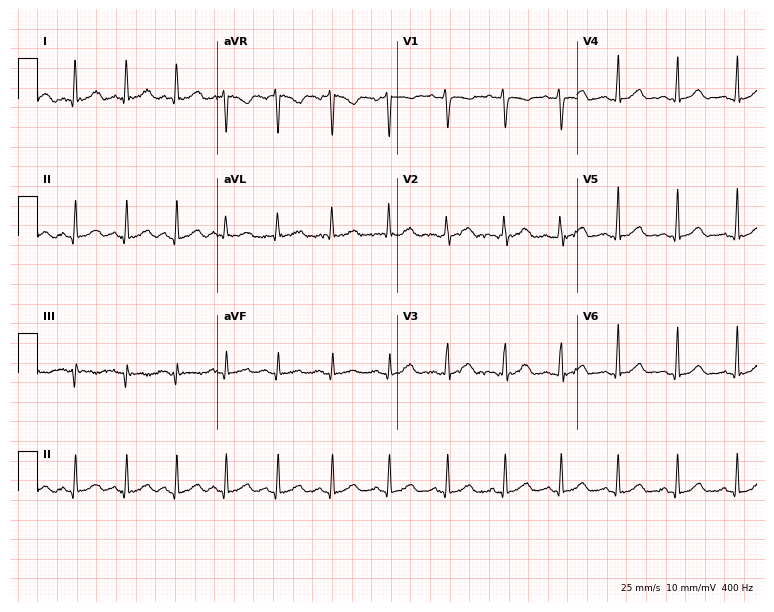
12-lead ECG from a woman, 23 years old (7.3-second recording at 400 Hz). Shows sinus tachycardia (a sinus rate of 100 beats per minute or more).